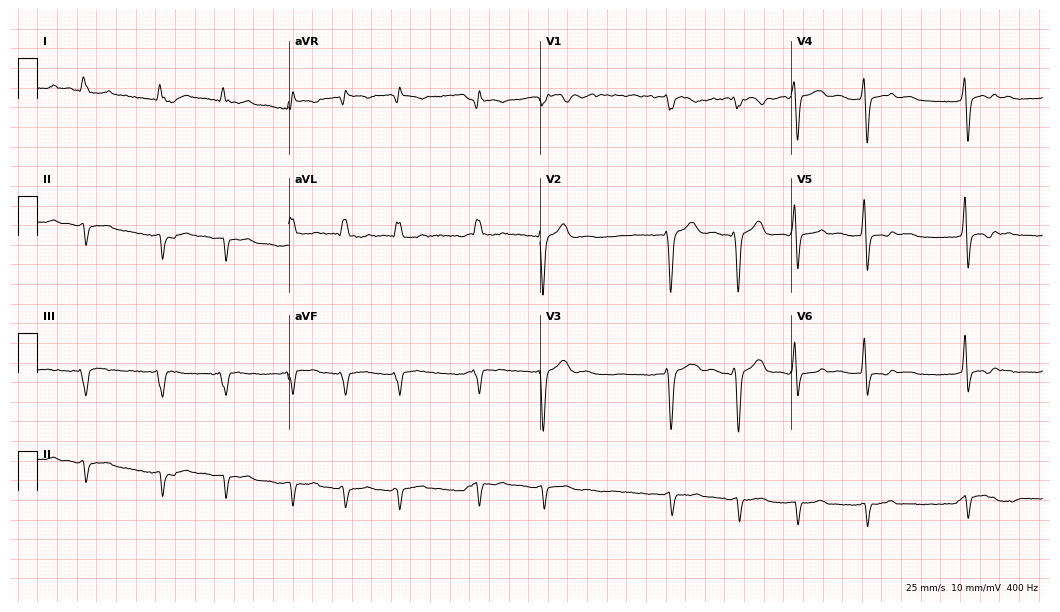
Resting 12-lead electrocardiogram. Patient: an 83-year-old male. The tracing shows atrial fibrillation (AF).